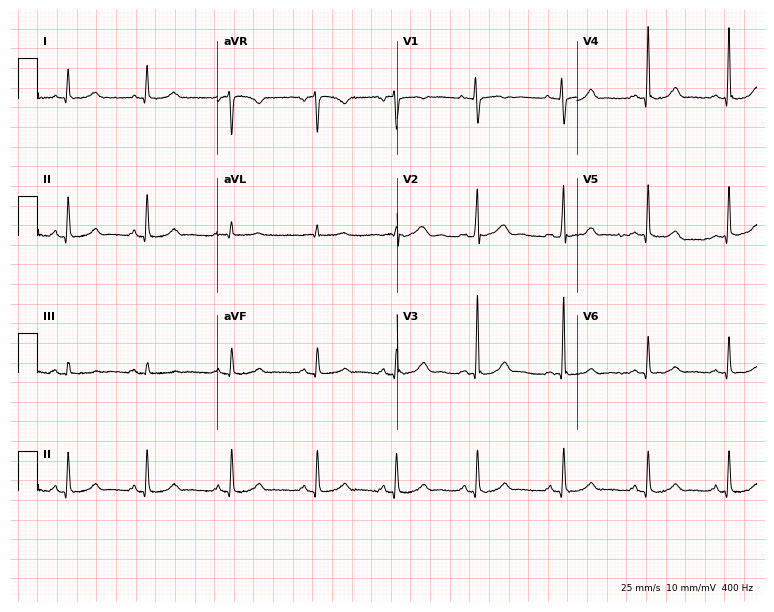
ECG — a female, 29 years old. Labelled as a normal ECG.